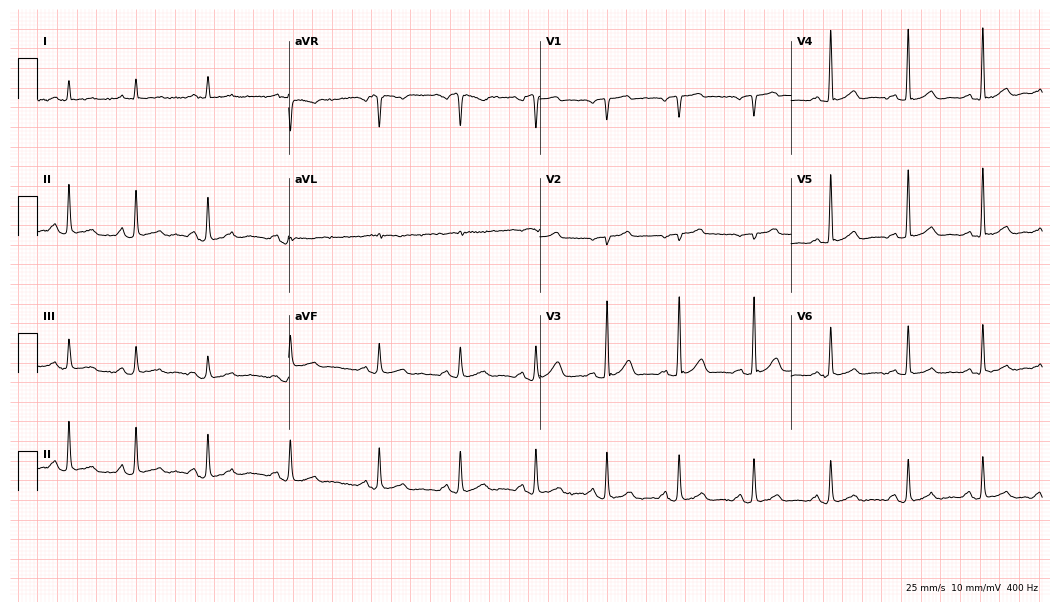
Resting 12-lead electrocardiogram (10.2-second recording at 400 Hz). Patient: a male, 25 years old. Read as a normal ECG.